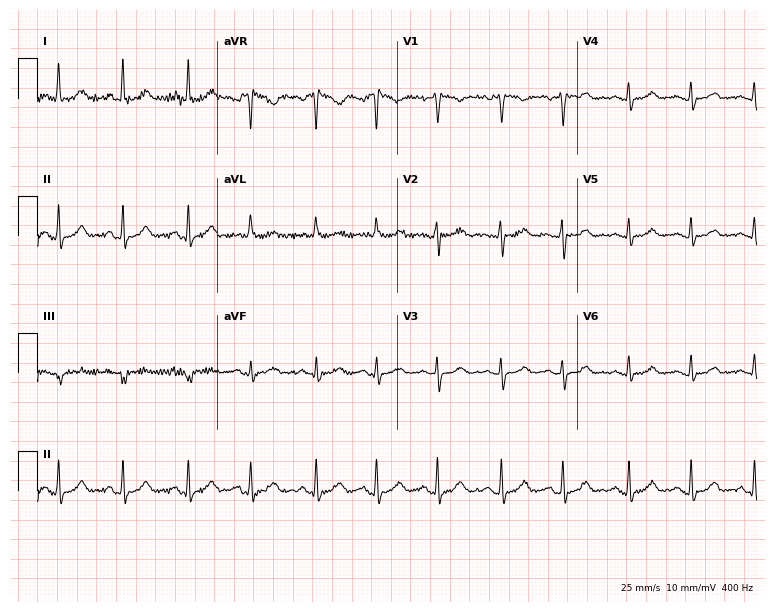
ECG (7.3-second recording at 400 Hz) — a 60-year-old female. Labelled as a normal ECG.